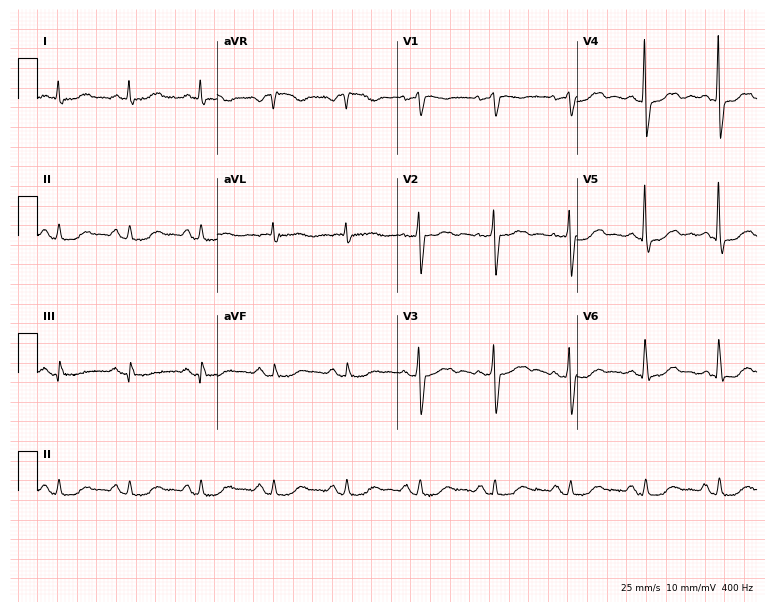
Electrocardiogram, a 73-year-old woman. Overall reading on record: normal ECG.